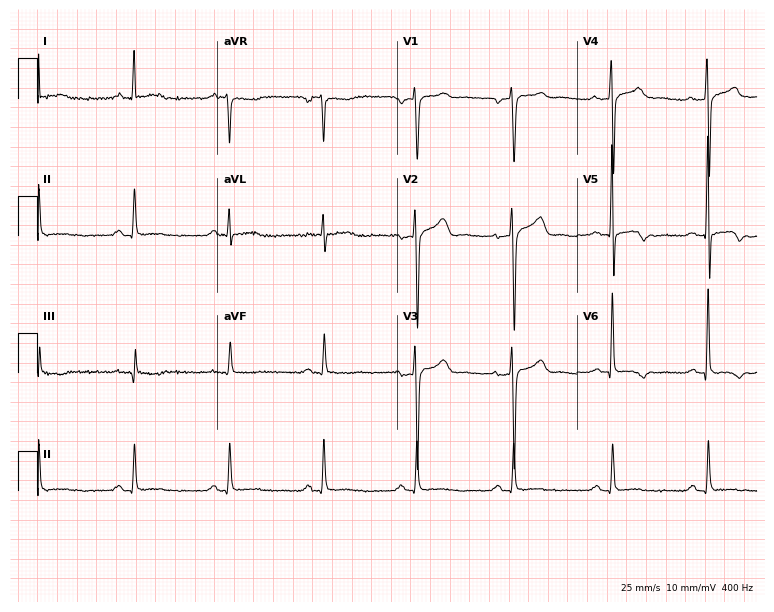
12-lead ECG (7.3-second recording at 400 Hz) from a man, 52 years old. Screened for six findings — first-degree AV block, right bundle branch block, left bundle branch block, sinus bradycardia, atrial fibrillation, sinus tachycardia — none is recorded.